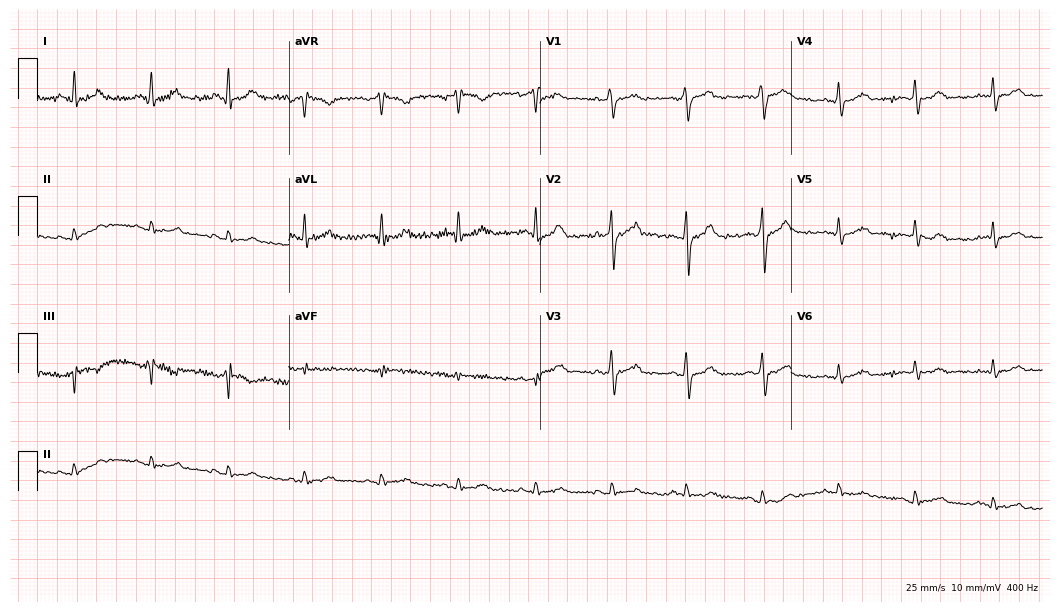
12-lead ECG from a 35-year-old male patient (10.2-second recording at 400 Hz). Recorded interpretation: within normal limits.